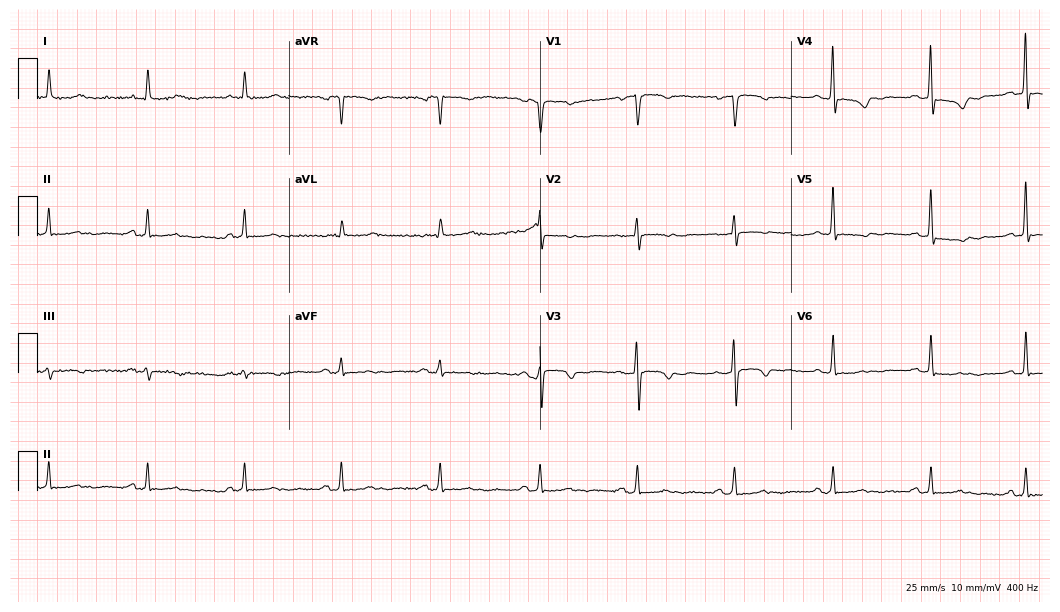
Resting 12-lead electrocardiogram. Patient: a 73-year-old female. None of these six findings is recorded: first-degree AV block, right bundle branch block, left bundle branch block, sinus bradycardia, atrial fibrillation, sinus tachycardia.